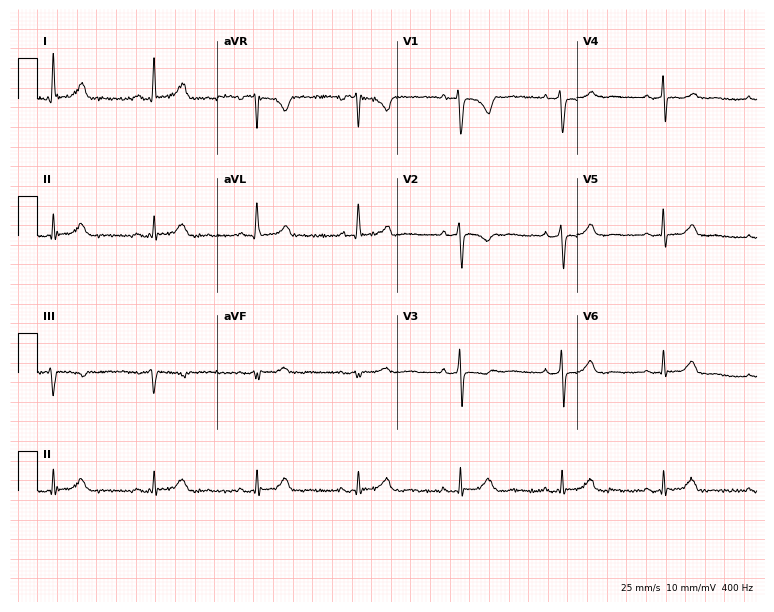
Resting 12-lead electrocardiogram. Patient: a 56-year-old female. None of these six findings is recorded: first-degree AV block, right bundle branch block (RBBB), left bundle branch block (LBBB), sinus bradycardia, atrial fibrillation (AF), sinus tachycardia. Other findings, if any, are not listed.